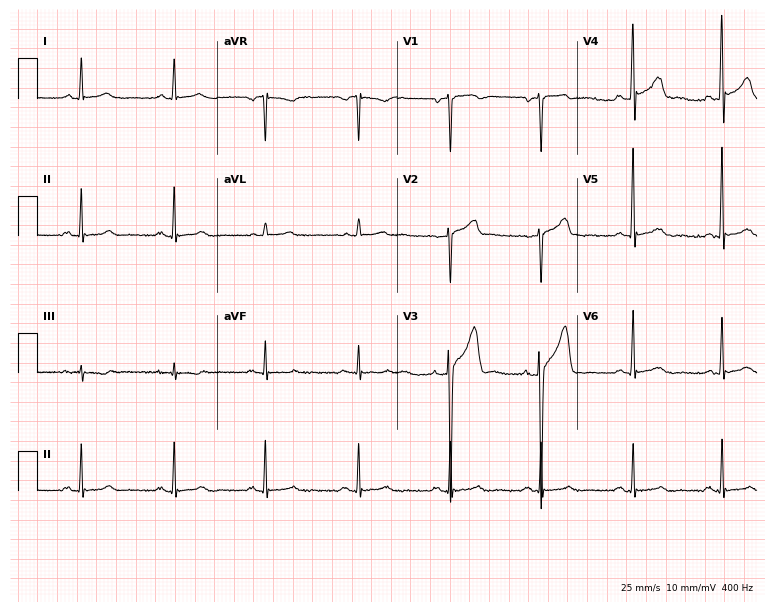
Standard 12-lead ECG recorded from a 45-year-old male. None of these six findings is recorded: first-degree AV block, right bundle branch block (RBBB), left bundle branch block (LBBB), sinus bradycardia, atrial fibrillation (AF), sinus tachycardia.